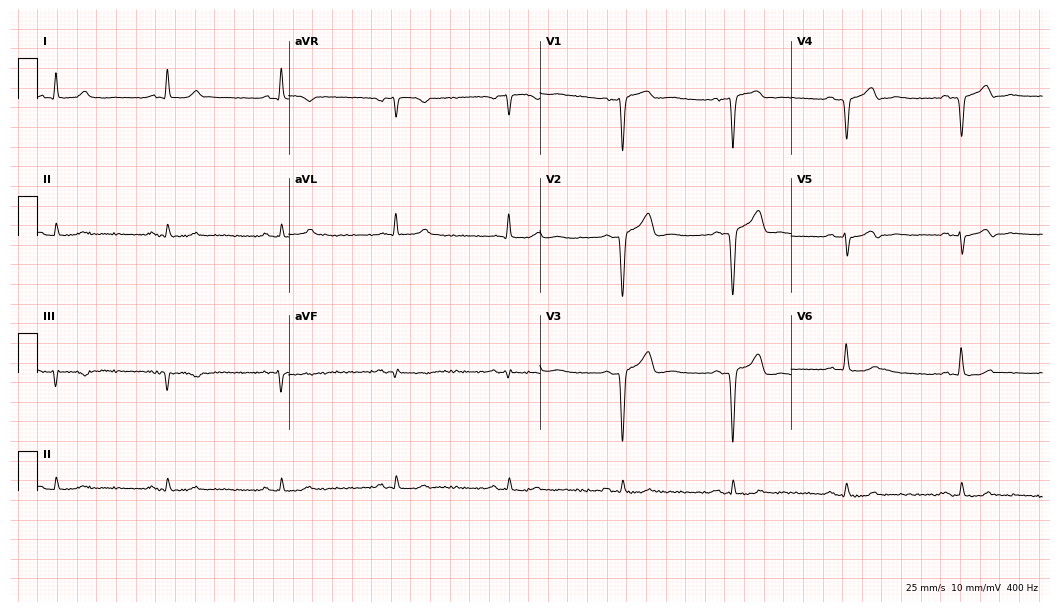
Resting 12-lead electrocardiogram. Patient: a 74-year-old male. None of these six findings is recorded: first-degree AV block, right bundle branch block, left bundle branch block, sinus bradycardia, atrial fibrillation, sinus tachycardia.